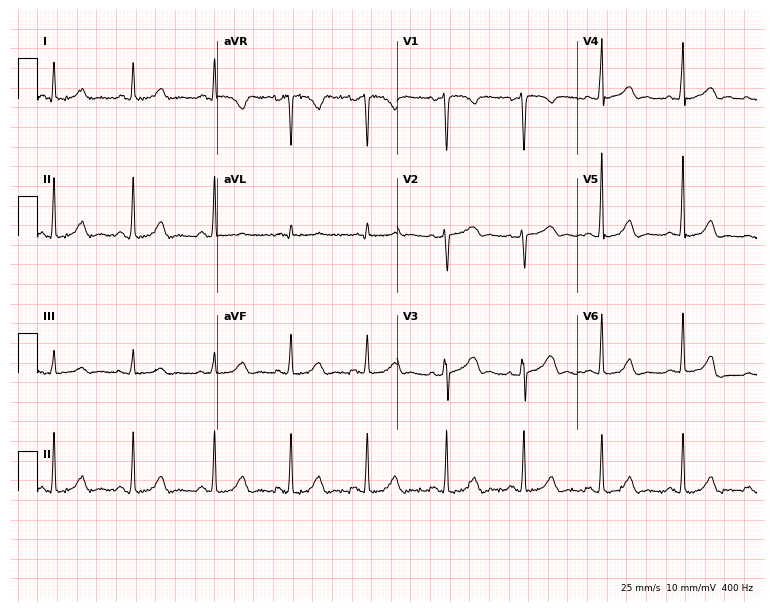
ECG (7.3-second recording at 400 Hz) — a 41-year-old woman. Screened for six findings — first-degree AV block, right bundle branch block (RBBB), left bundle branch block (LBBB), sinus bradycardia, atrial fibrillation (AF), sinus tachycardia — none is recorded.